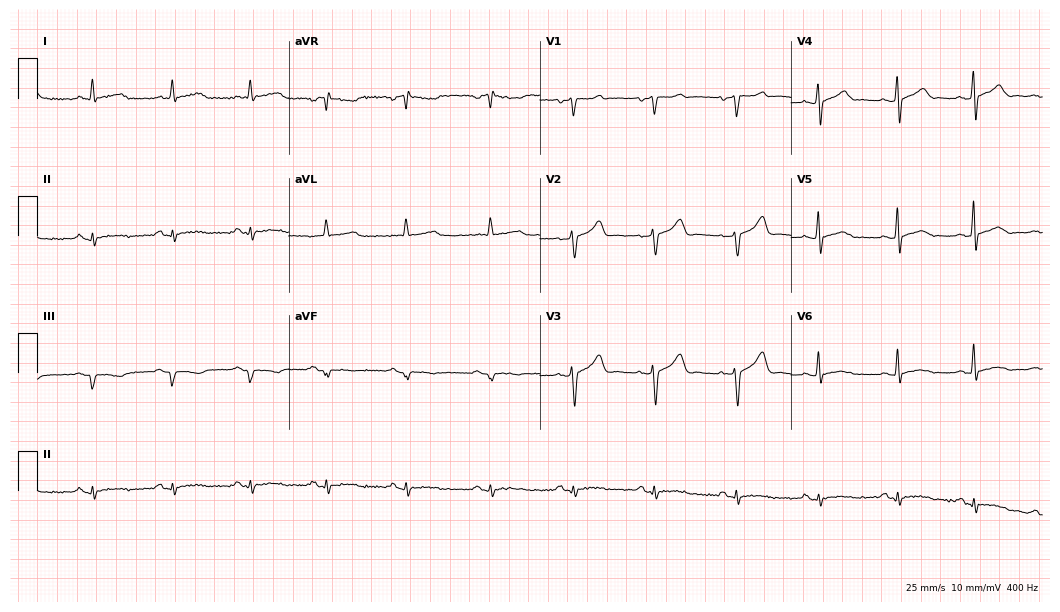
12-lead ECG (10.2-second recording at 400 Hz) from a 43-year-old male. Screened for six findings — first-degree AV block, right bundle branch block, left bundle branch block, sinus bradycardia, atrial fibrillation, sinus tachycardia — none is recorded. Only these six findings were labelled.